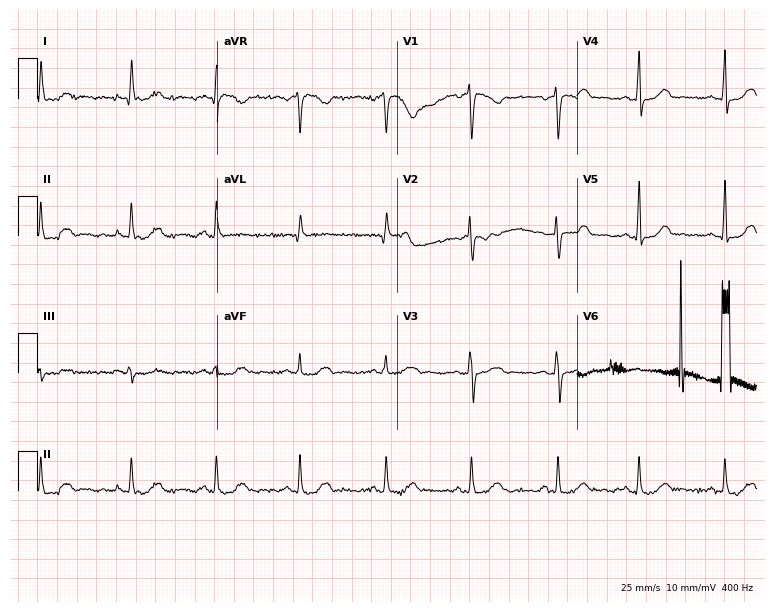
ECG (7.3-second recording at 400 Hz) — a 43-year-old female. Labelled as a normal ECG.